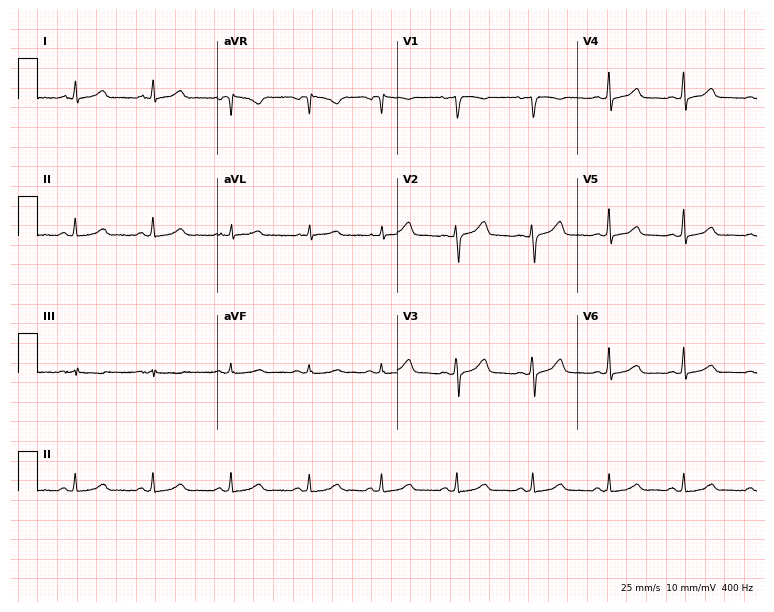
Resting 12-lead electrocardiogram. Patient: a female, 36 years old. Read as a normal ECG.